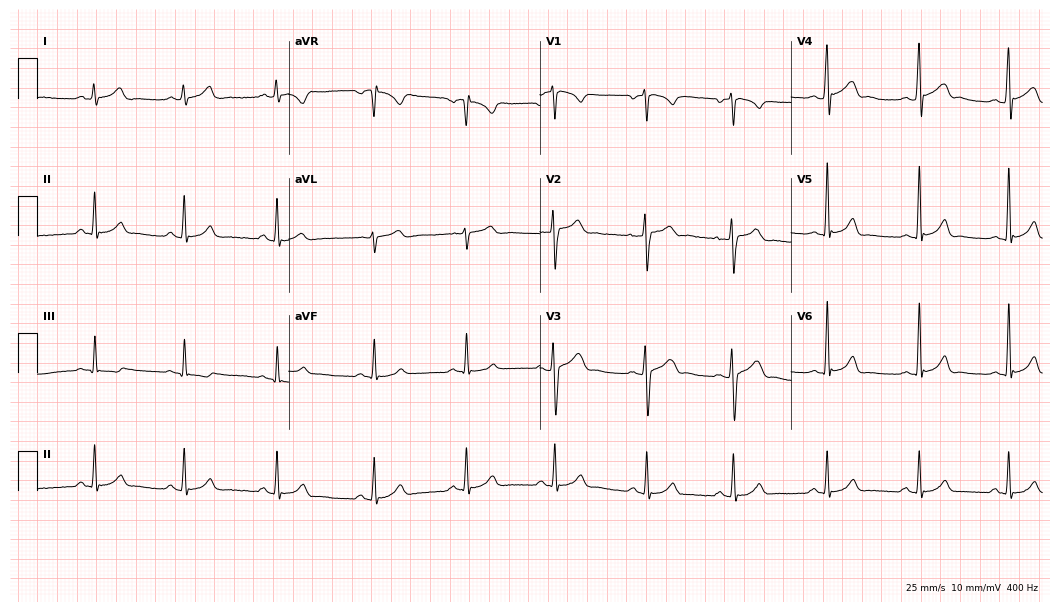
12-lead ECG from a 27-year-old man (10.2-second recording at 400 Hz). Recorded interpretation: within normal limits.